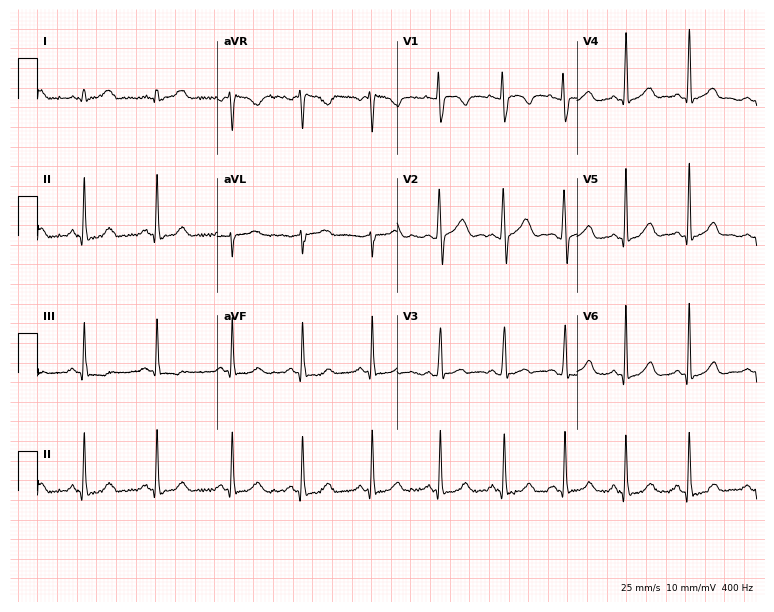
12-lead ECG (7.3-second recording at 400 Hz) from a 22-year-old female patient. Labelled as a normal ECG.